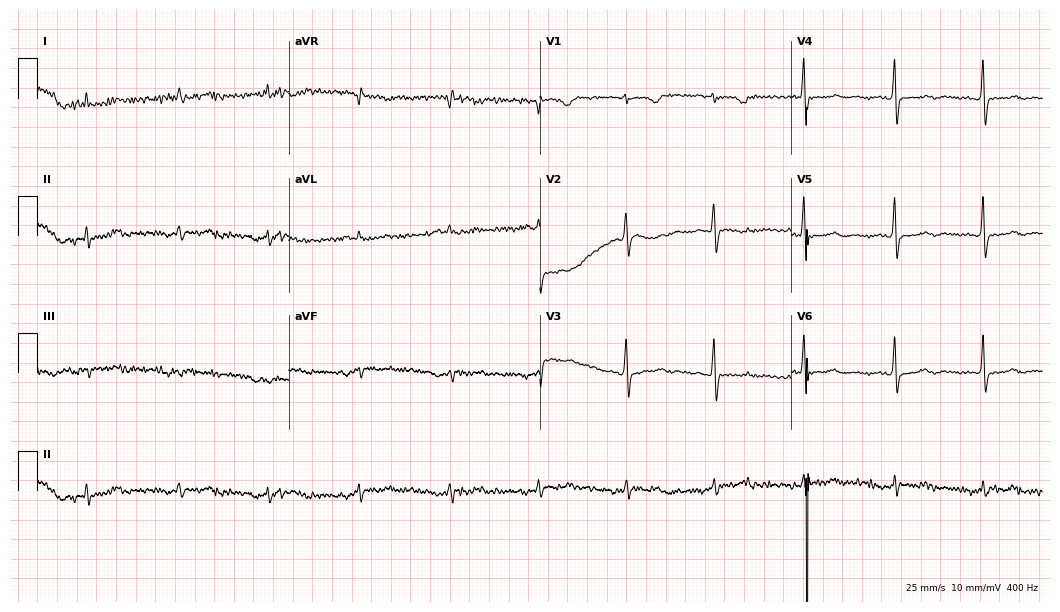
Standard 12-lead ECG recorded from a 75-year-old female (10.2-second recording at 400 Hz). None of these six findings is recorded: first-degree AV block, right bundle branch block, left bundle branch block, sinus bradycardia, atrial fibrillation, sinus tachycardia. Only these six findings were labelled.